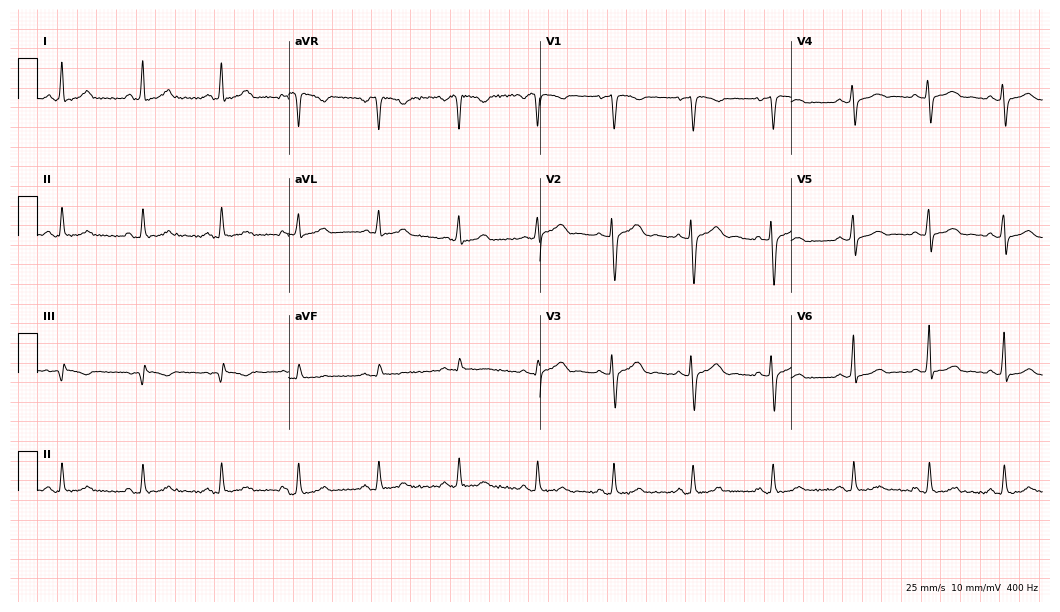
12-lead ECG from a 39-year-old female. Recorded interpretation: within normal limits.